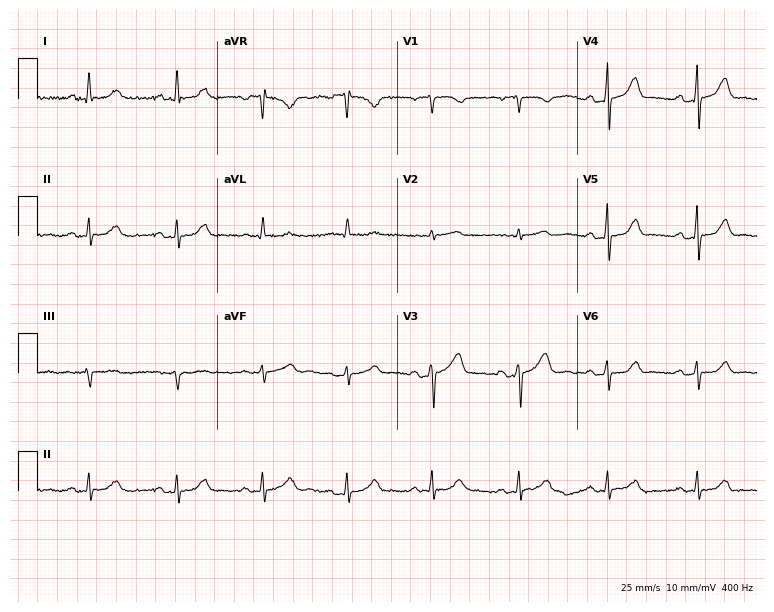
Electrocardiogram (7.3-second recording at 400 Hz), a 60-year-old male patient. Overall reading on record: normal ECG.